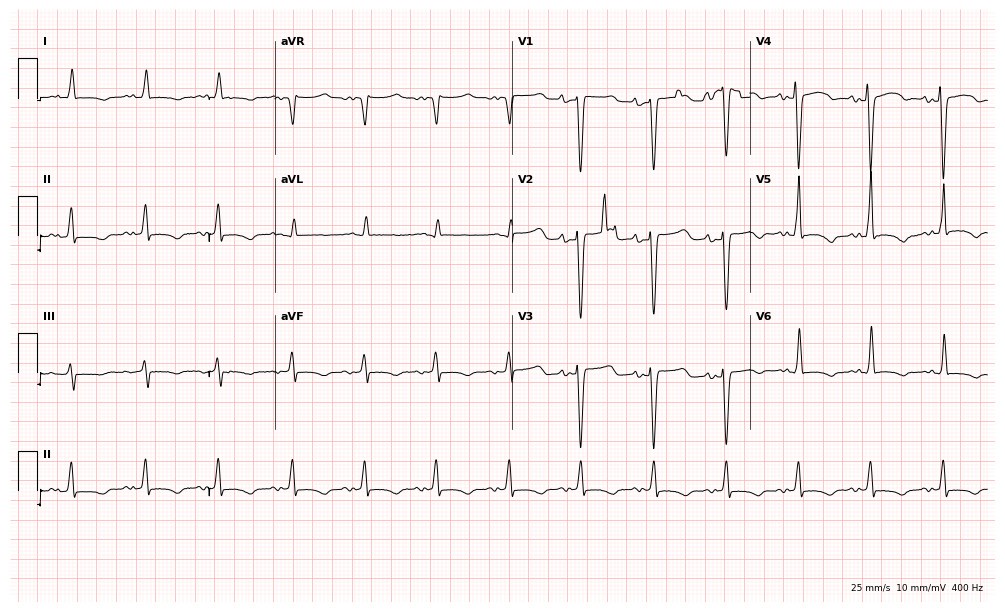
12-lead ECG (9.7-second recording at 400 Hz) from a male, 73 years old. Screened for six findings — first-degree AV block, right bundle branch block (RBBB), left bundle branch block (LBBB), sinus bradycardia, atrial fibrillation (AF), sinus tachycardia — none is recorded.